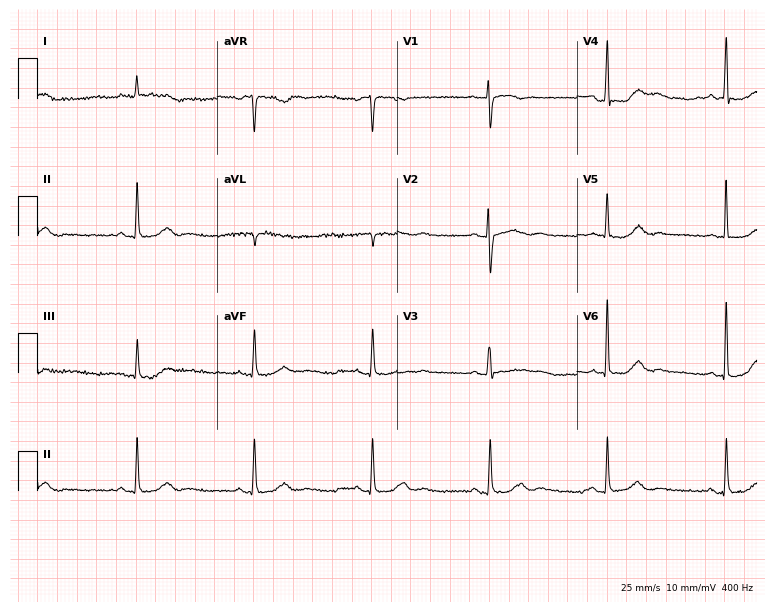
12-lead ECG (7.3-second recording at 400 Hz) from a 64-year-old female. Findings include sinus bradycardia (a sinus rate of 50 beats per minute or less).